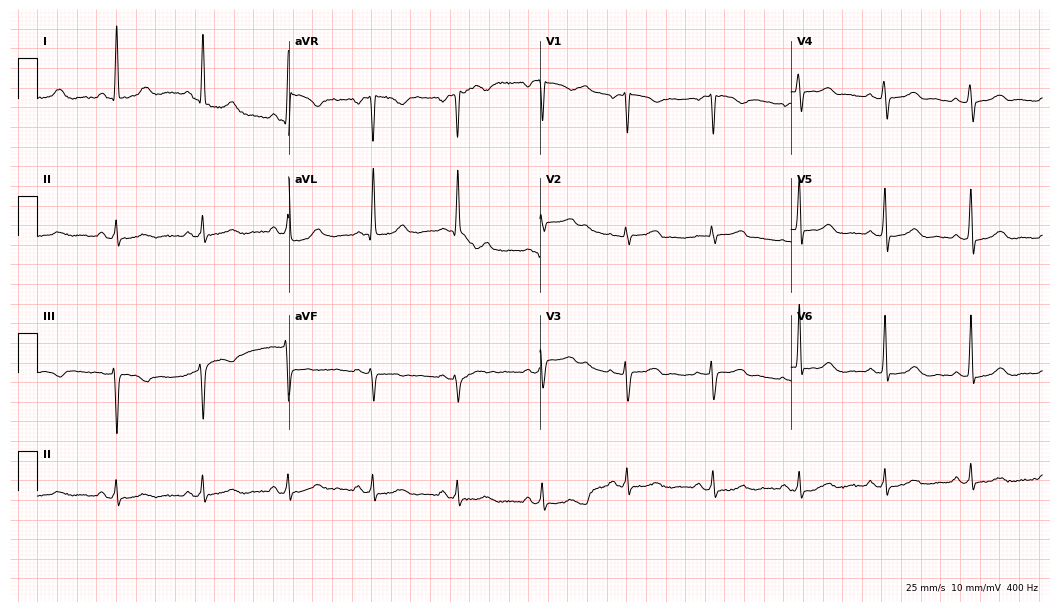
Resting 12-lead electrocardiogram (10.2-second recording at 400 Hz). Patient: a female, 69 years old. None of these six findings is recorded: first-degree AV block, right bundle branch block, left bundle branch block, sinus bradycardia, atrial fibrillation, sinus tachycardia. Other findings, if any, are not listed.